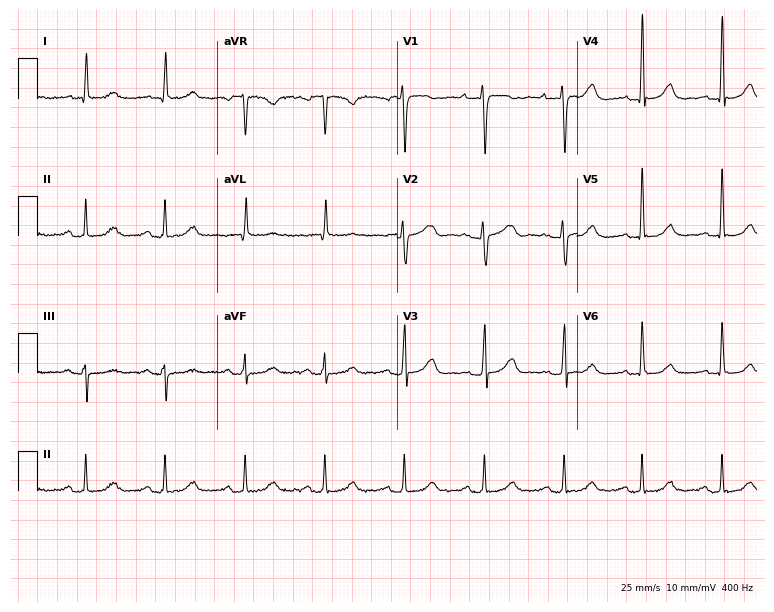
Electrocardiogram (7.3-second recording at 400 Hz), a 63-year-old female. Of the six screened findings (first-degree AV block, right bundle branch block (RBBB), left bundle branch block (LBBB), sinus bradycardia, atrial fibrillation (AF), sinus tachycardia), none is recorded.